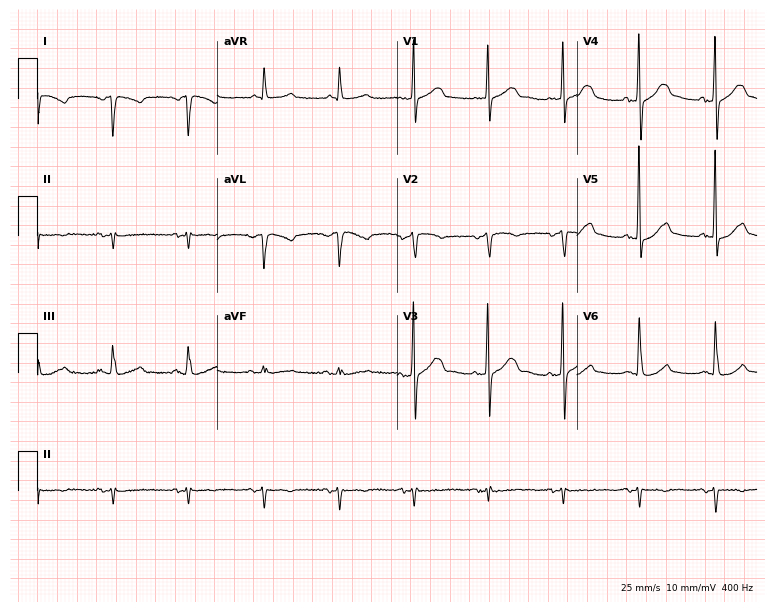
ECG (7.3-second recording at 400 Hz) — a 79-year-old male. Screened for six findings — first-degree AV block, right bundle branch block (RBBB), left bundle branch block (LBBB), sinus bradycardia, atrial fibrillation (AF), sinus tachycardia — none is recorded.